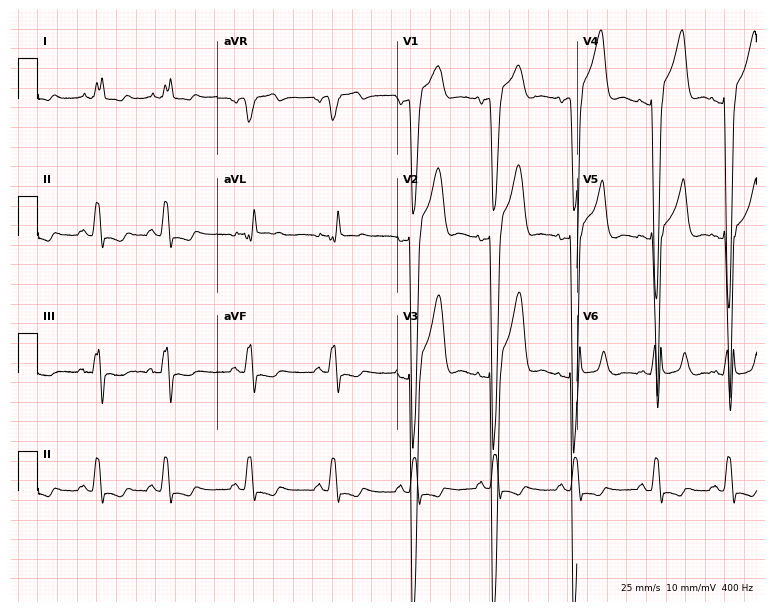
Resting 12-lead electrocardiogram. Patient: a 79-year-old male. The tracing shows left bundle branch block.